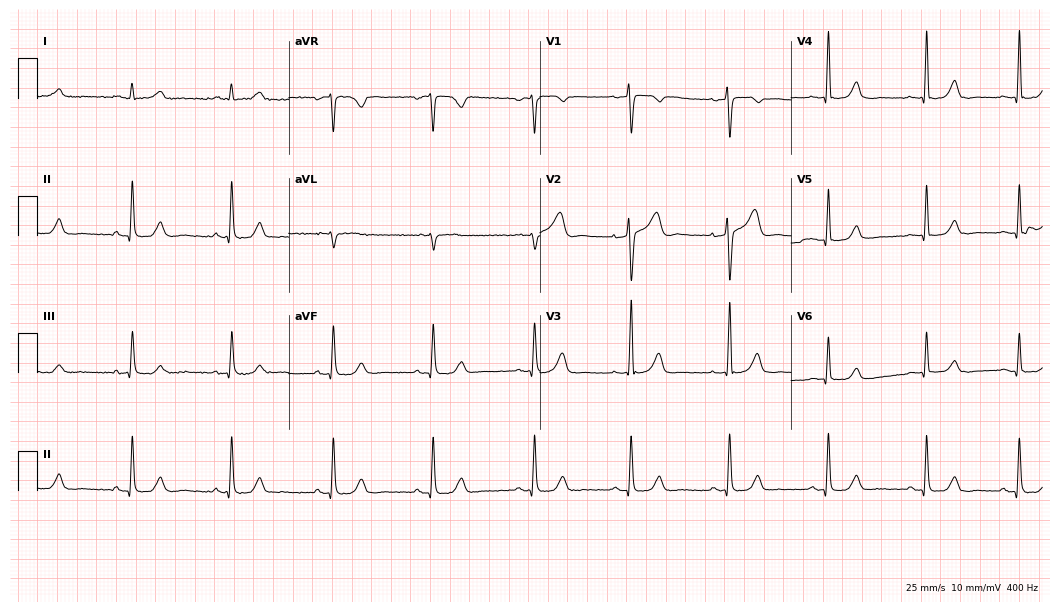
ECG (10.2-second recording at 400 Hz) — a woman, 38 years old. Screened for six findings — first-degree AV block, right bundle branch block, left bundle branch block, sinus bradycardia, atrial fibrillation, sinus tachycardia — none is recorded.